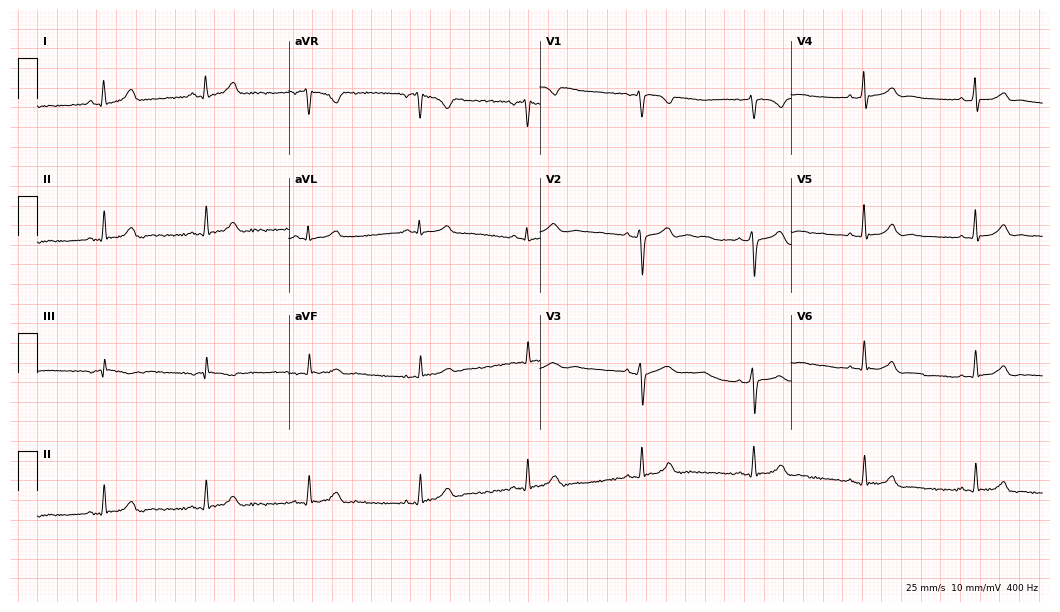
Resting 12-lead electrocardiogram. Patient: a 30-year-old female. Read as a normal ECG.